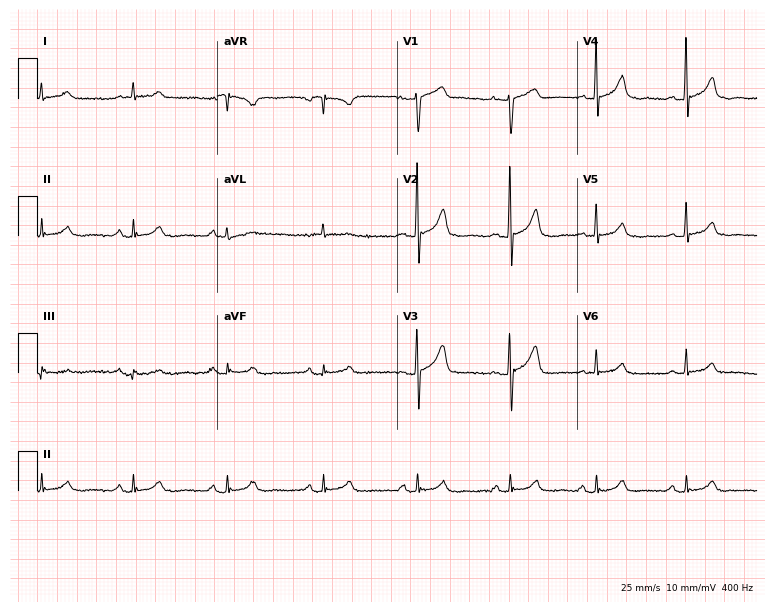
ECG (7.3-second recording at 400 Hz) — a man, 56 years old. Labelled as a normal ECG.